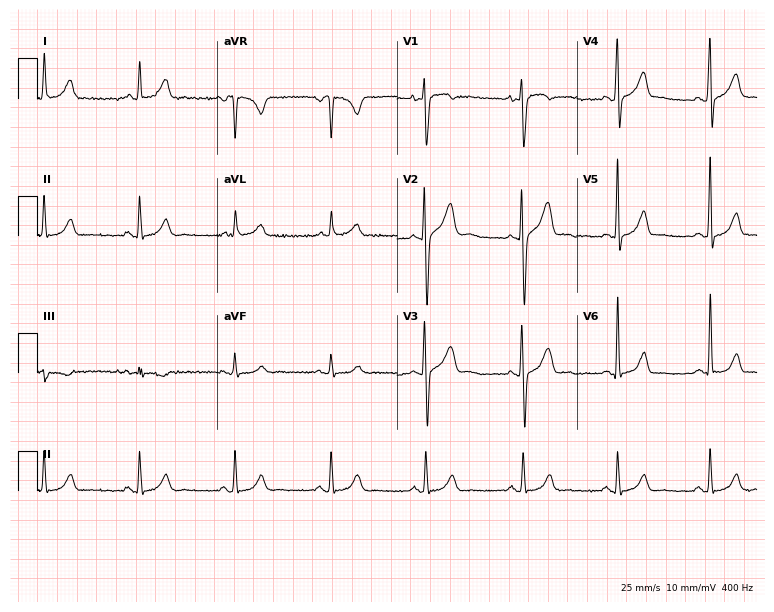
12-lead ECG from a male, 27 years old (7.3-second recording at 400 Hz). Recorded interpretation: within normal limits.